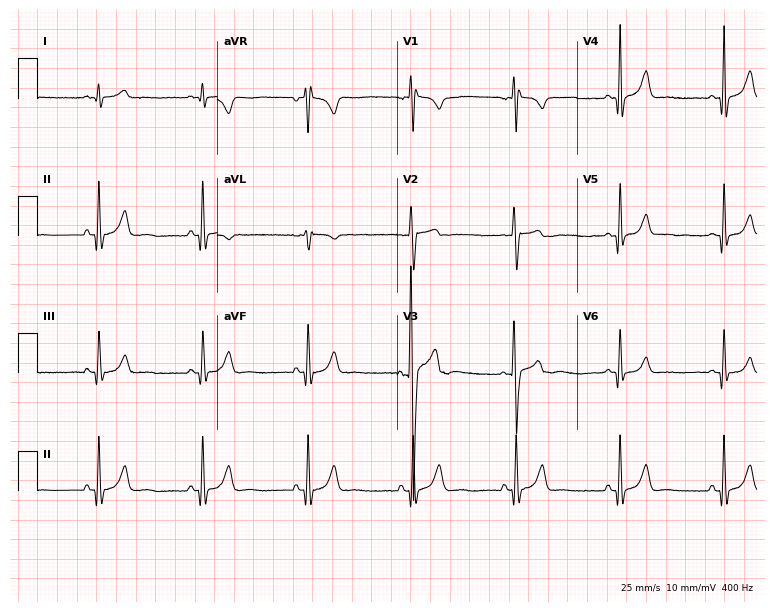
Electrocardiogram (7.3-second recording at 400 Hz), a 19-year-old male patient. Overall reading on record: normal ECG.